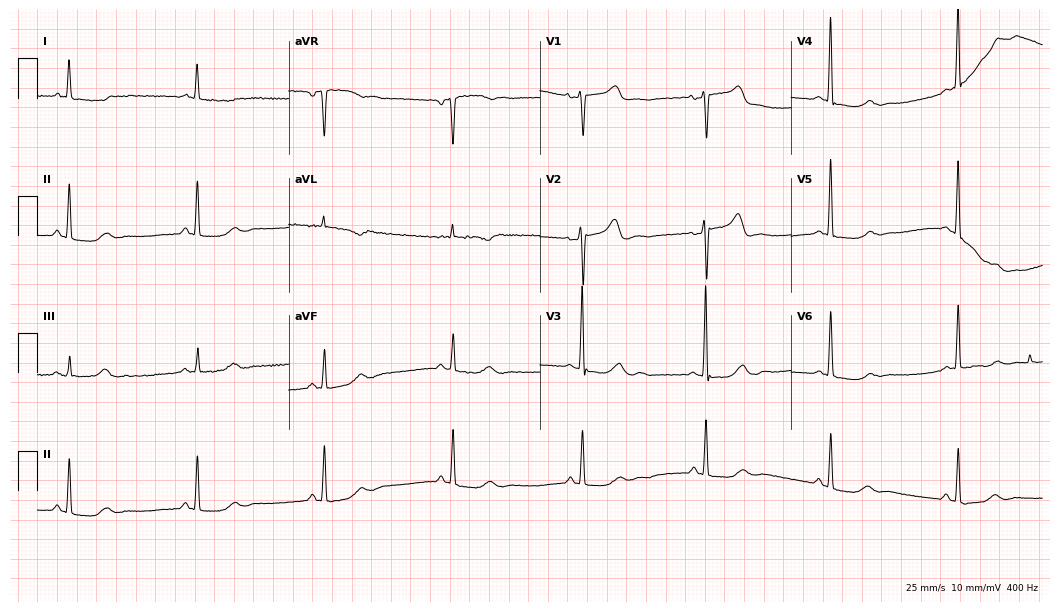
12-lead ECG from a 55-year-old female patient. No first-degree AV block, right bundle branch block (RBBB), left bundle branch block (LBBB), sinus bradycardia, atrial fibrillation (AF) or sinus tachycardia recorded for this tracing.